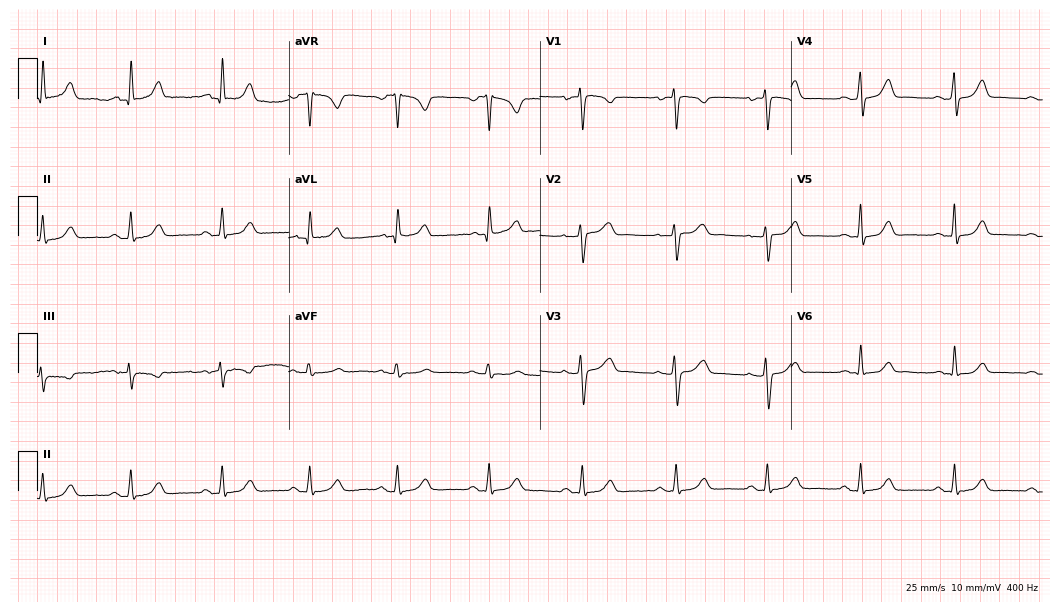
12-lead ECG from a woman, 42 years old. Labelled as a normal ECG.